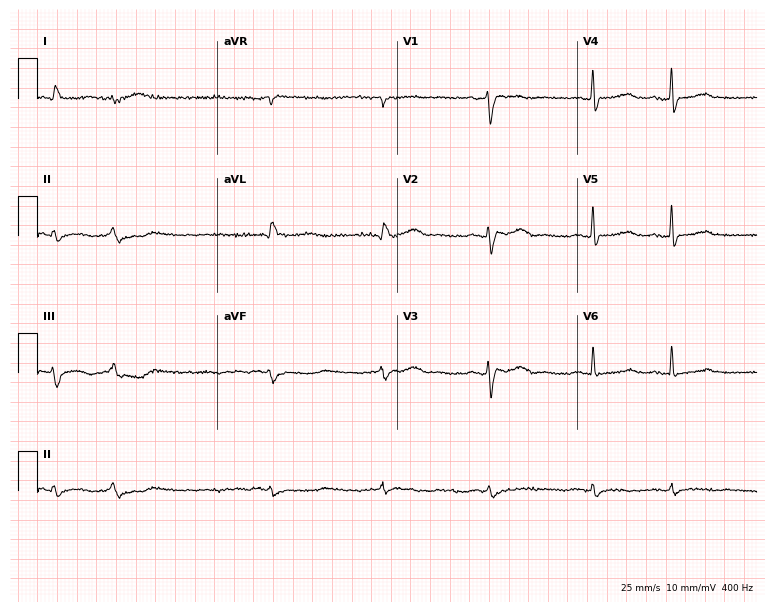
Resting 12-lead electrocardiogram (7.3-second recording at 400 Hz). Patient: a 68-year-old man. The tracing shows atrial fibrillation.